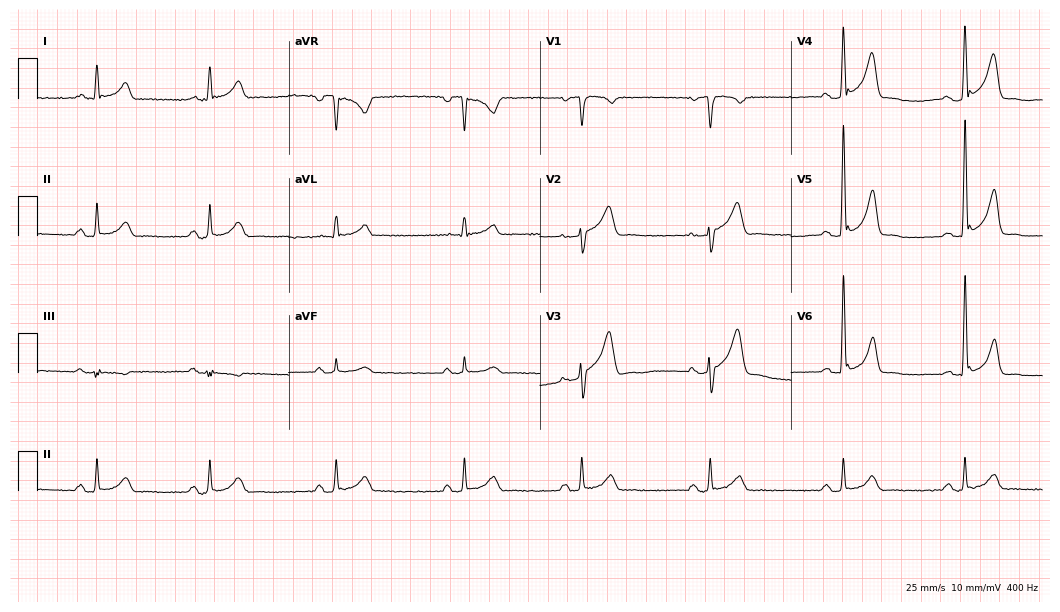
12-lead ECG from a 56-year-old male patient. Recorded interpretation: within normal limits.